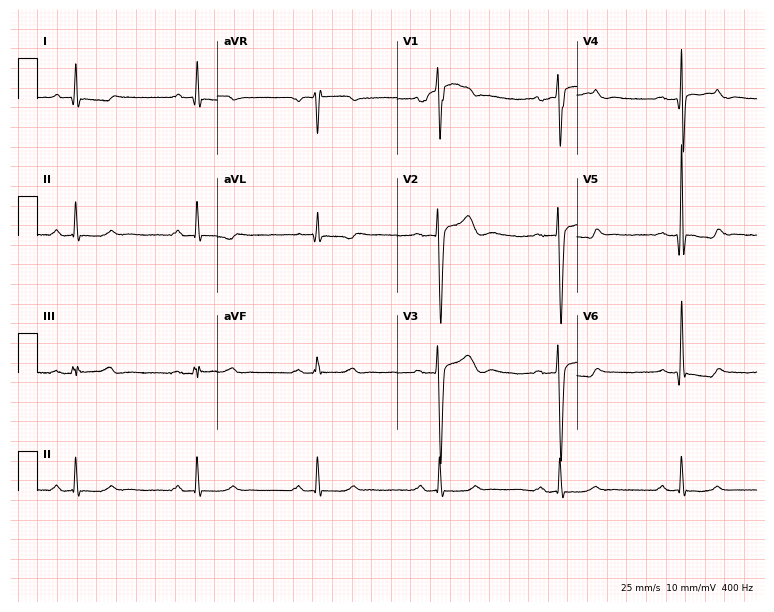
12-lead ECG from a man, 59 years old. Screened for six findings — first-degree AV block, right bundle branch block, left bundle branch block, sinus bradycardia, atrial fibrillation, sinus tachycardia — none is recorded. Other findings, if any, are not listed.